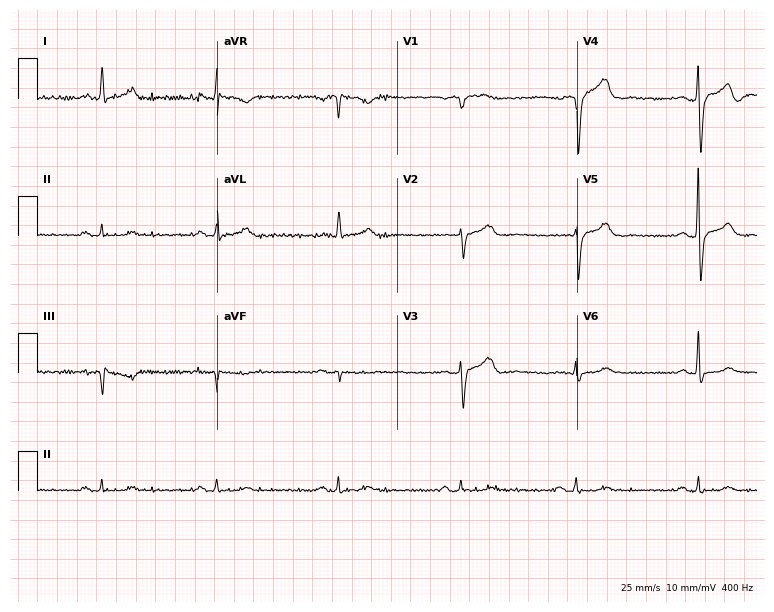
ECG (7.3-second recording at 400 Hz) — a man, 69 years old. Screened for six findings — first-degree AV block, right bundle branch block, left bundle branch block, sinus bradycardia, atrial fibrillation, sinus tachycardia — none is recorded.